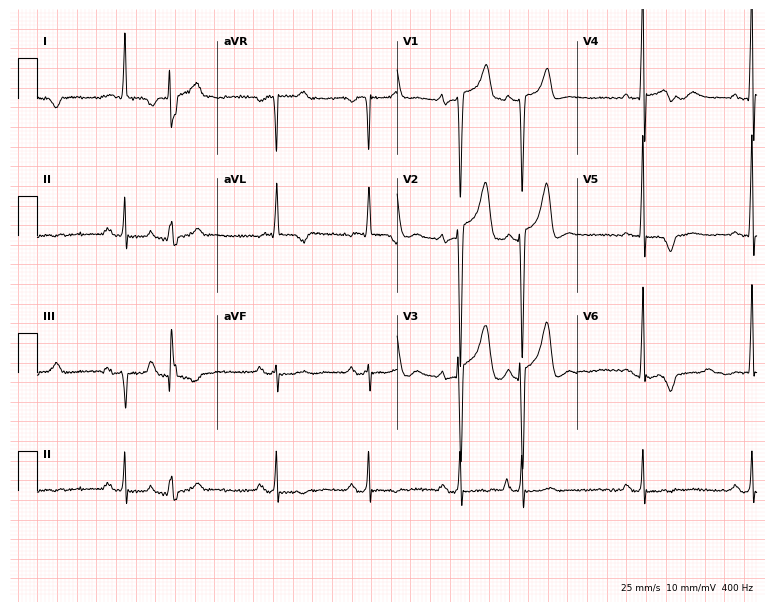
Electrocardiogram (7.3-second recording at 400 Hz), a 76-year-old female patient. Of the six screened findings (first-degree AV block, right bundle branch block, left bundle branch block, sinus bradycardia, atrial fibrillation, sinus tachycardia), none is recorded. Only these six findings were labelled.